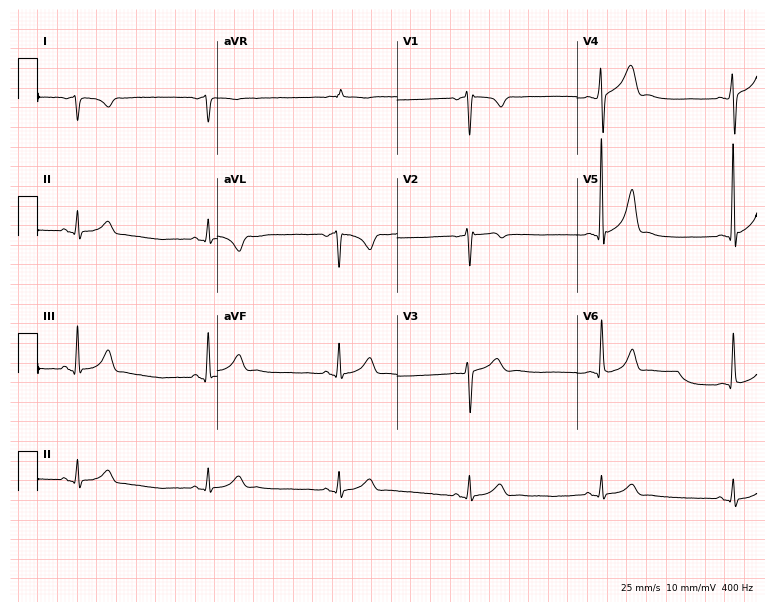
Electrocardiogram (7.3-second recording at 400 Hz), a male patient, 59 years old. Of the six screened findings (first-degree AV block, right bundle branch block, left bundle branch block, sinus bradycardia, atrial fibrillation, sinus tachycardia), none is recorded. Findings outside these six are not listed.